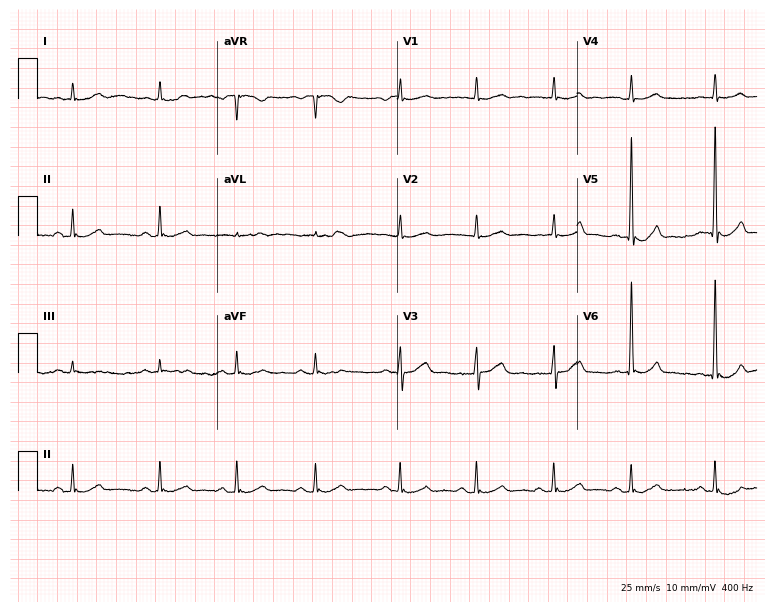
12-lead ECG from a female, 74 years old. No first-degree AV block, right bundle branch block, left bundle branch block, sinus bradycardia, atrial fibrillation or sinus tachycardia recorded for this tracing. Findings outside these six are not listed.